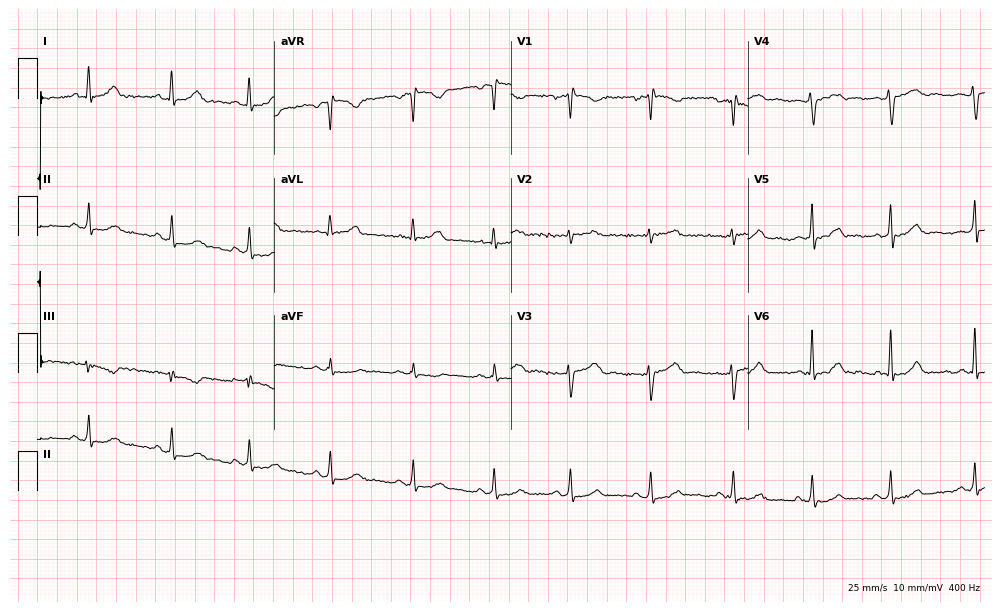
Resting 12-lead electrocardiogram. Patient: a female, 33 years old. None of these six findings is recorded: first-degree AV block, right bundle branch block, left bundle branch block, sinus bradycardia, atrial fibrillation, sinus tachycardia.